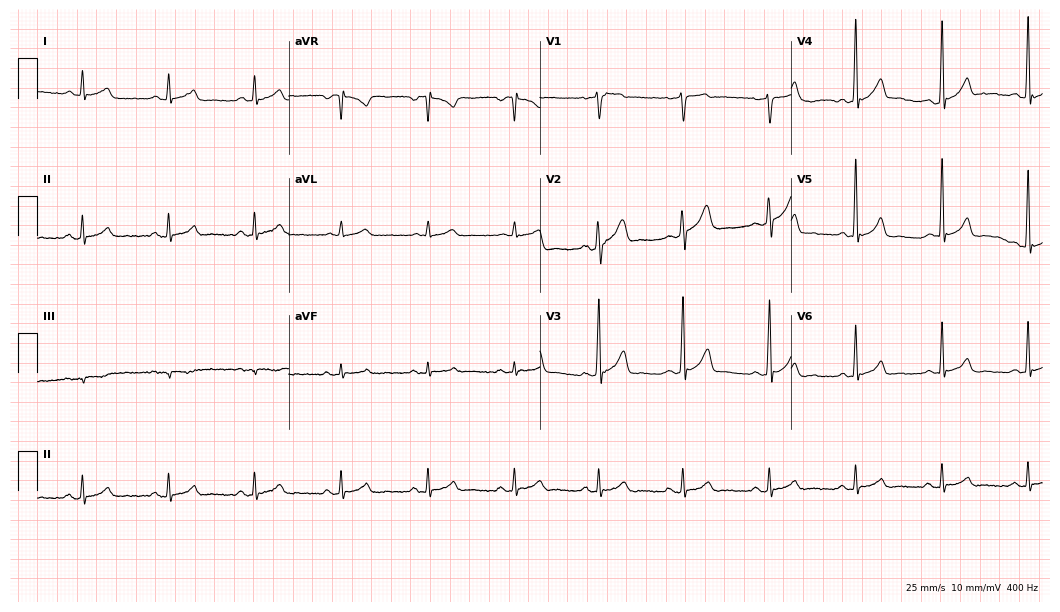
12-lead ECG from a 32-year-old male (10.2-second recording at 400 Hz). Recorded interpretation: within normal limits.